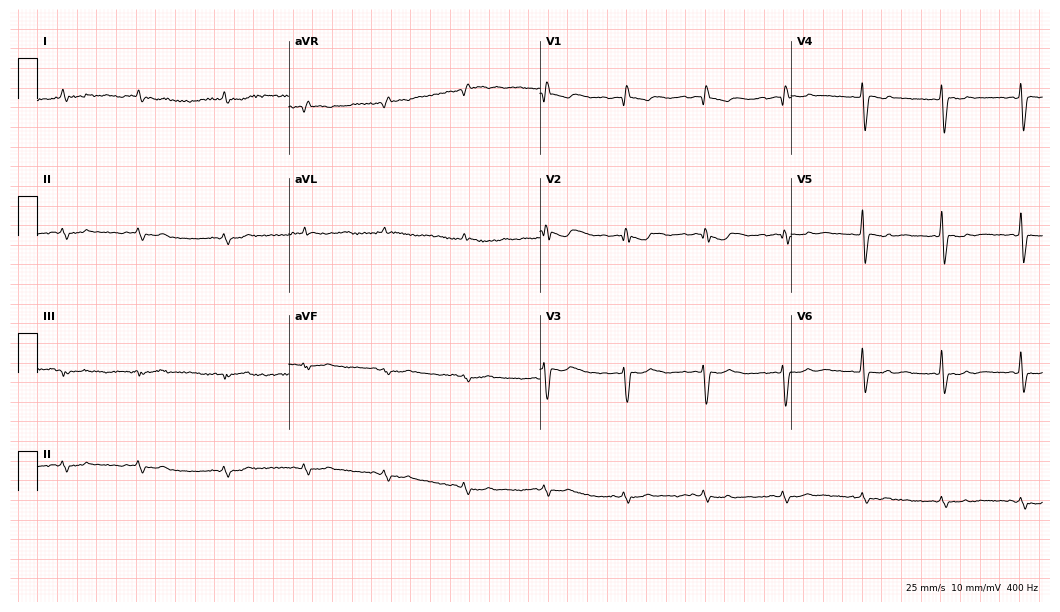
12-lead ECG from a male patient, 67 years old (10.2-second recording at 400 Hz). No first-degree AV block, right bundle branch block, left bundle branch block, sinus bradycardia, atrial fibrillation or sinus tachycardia recorded for this tracing.